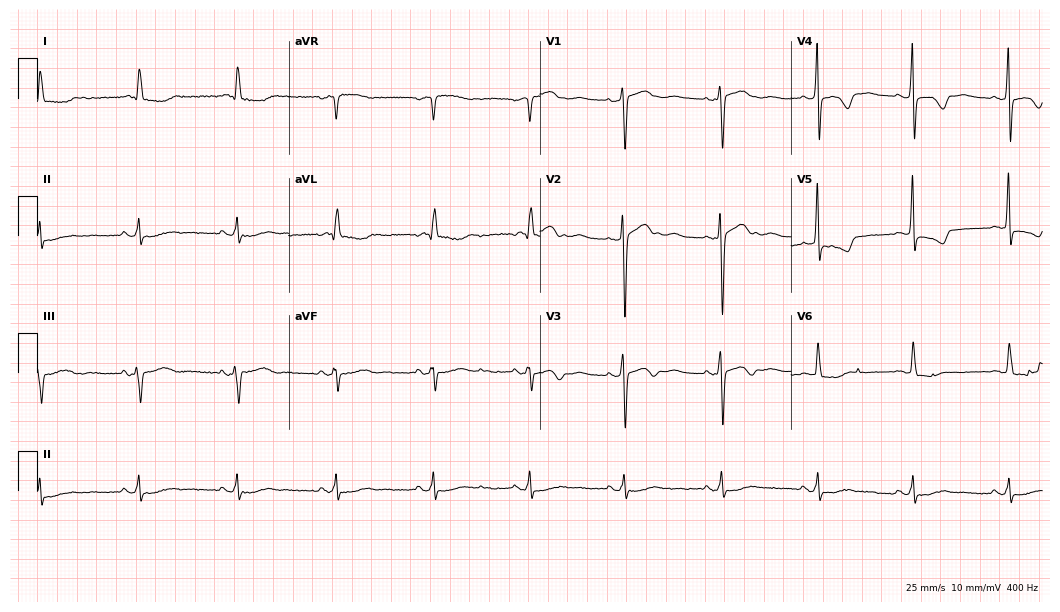
Electrocardiogram, a 66-year-old female patient. Of the six screened findings (first-degree AV block, right bundle branch block, left bundle branch block, sinus bradycardia, atrial fibrillation, sinus tachycardia), none is recorded. Findings outside these six are not listed.